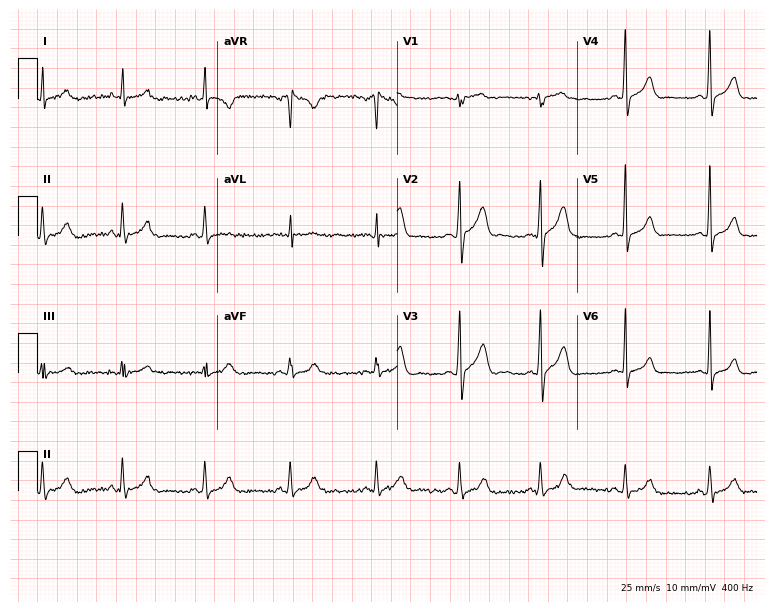
12-lead ECG (7.3-second recording at 400 Hz) from a 39-year-old male. Labelled as a normal ECG.